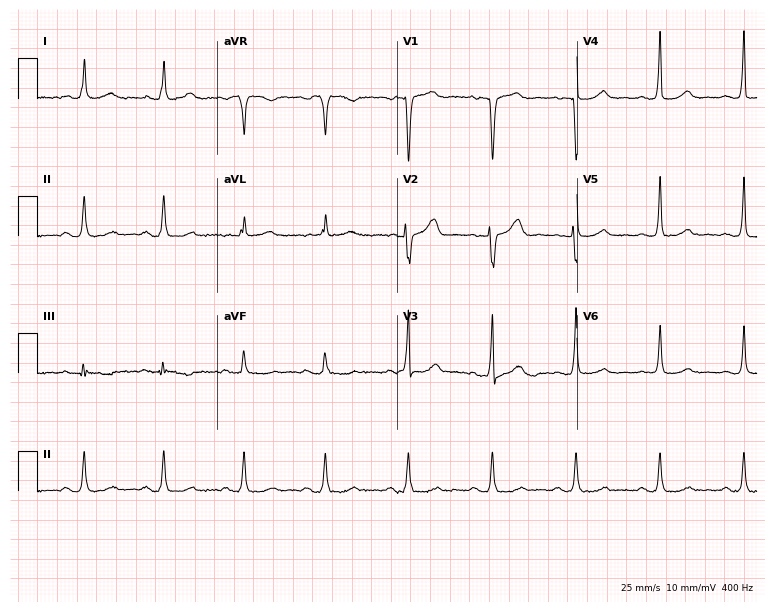
Standard 12-lead ECG recorded from a woman, 74 years old. None of these six findings is recorded: first-degree AV block, right bundle branch block, left bundle branch block, sinus bradycardia, atrial fibrillation, sinus tachycardia.